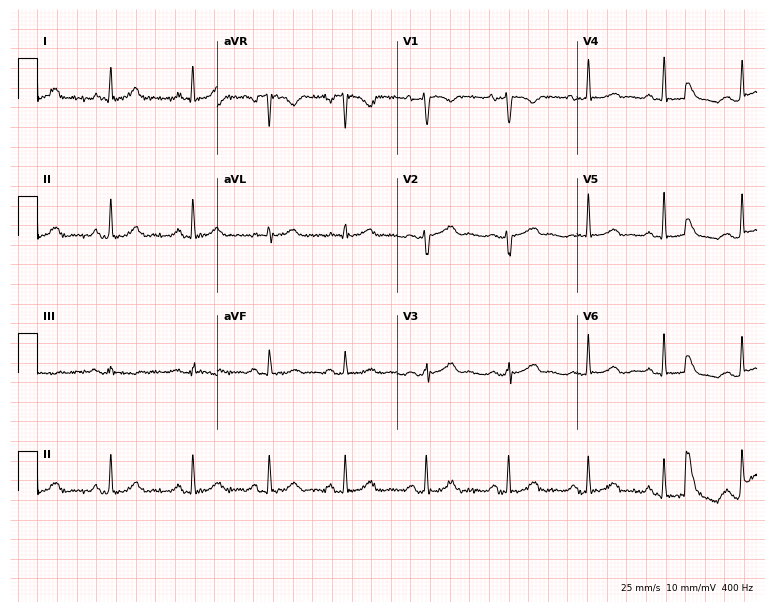
ECG — a 34-year-old female patient. Screened for six findings — first-degree AV block, right bundle branch block, left bundle branch block, sinus bradycardia, atrial fibrillation, sinus tachycardia — none is recorded. Findings outside these six are not listed.